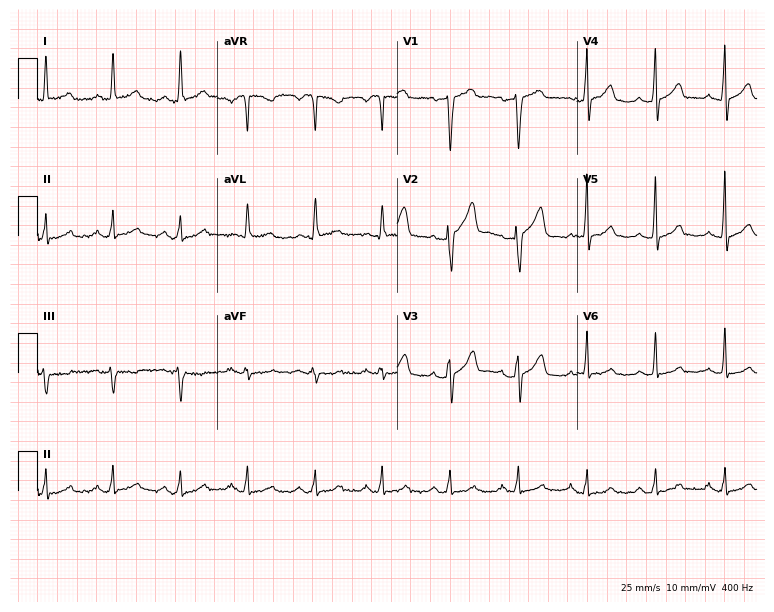
ECG (7.3-second recording at 400 Hz) — a 60-year-old female. Labelled as a normal ECG.